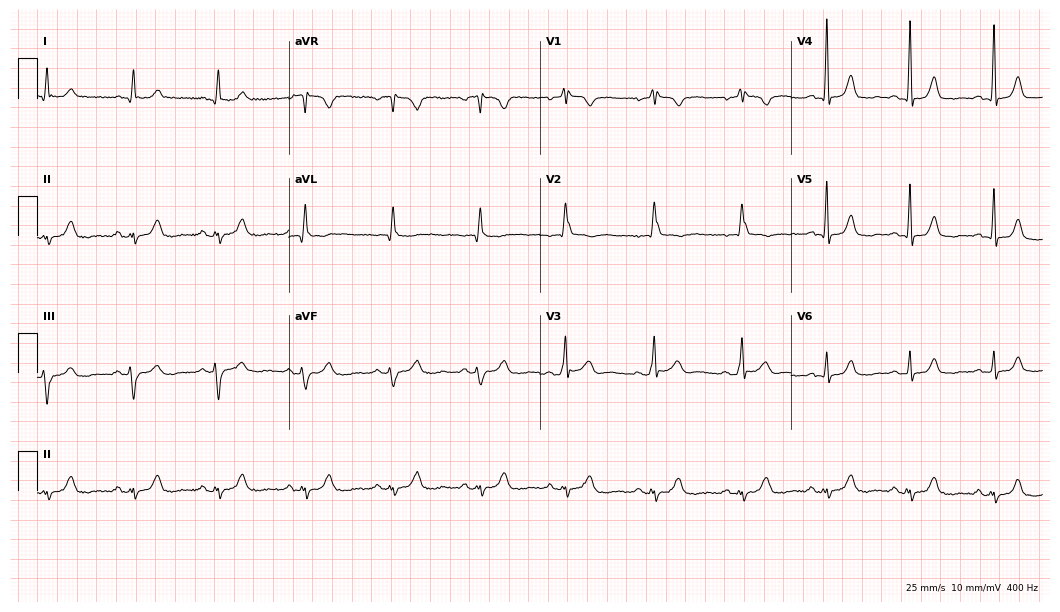
Resting 12-lead electrocardiogram (10.2-second recording at 400 Hz). Patient: a man, 59 years old. None of these six findings is recorded: first-degree AV block, right bundle branch block, left bundle branch block, sinus bradycardia, atrial fibrillation, sinus tachycardia.